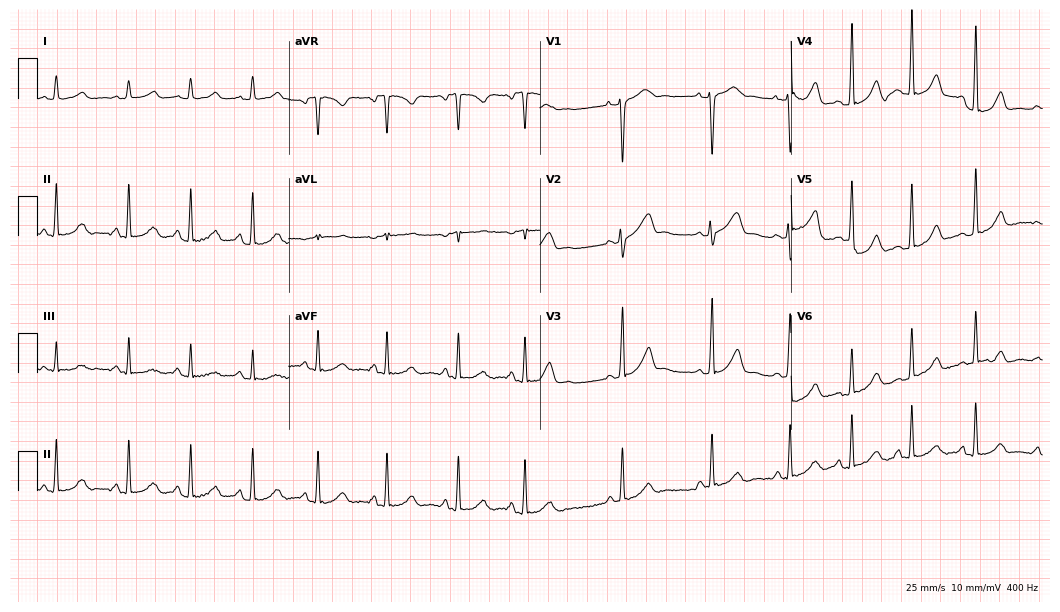
Resting 12-lead electrocardiogram. Patient: a woman, 23 years old. None of these six findings is recorded: first-degree AV block, right bundle branch block, left bundle branch block, sinus bradycardia, atrial fibrillation, sinus tachycardia.